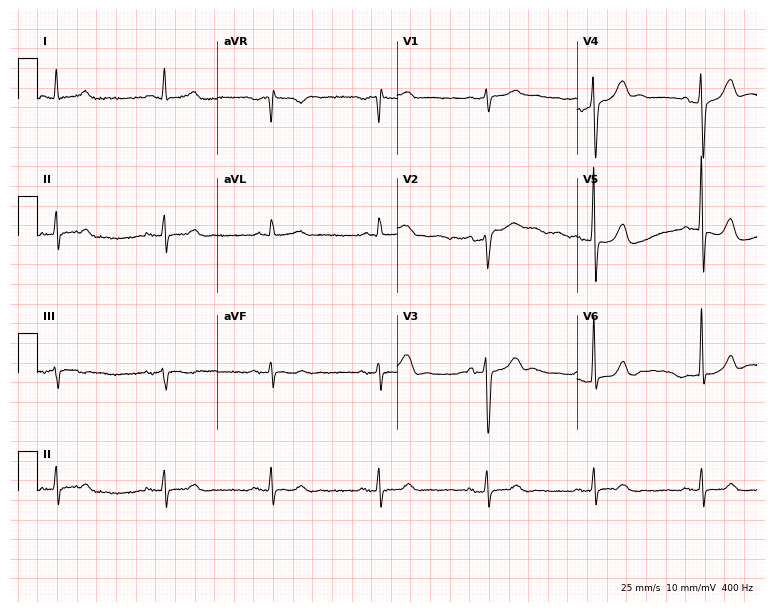
ECG (7.3-second recording at 400 Hz) — an 83-year-old male patient. Screened for six findings — first-degree AV block, right bundle branch block (RBBB), left bundle branch block (LBBB), sinus bradycardia, atrial fibrillation (AF), sinus tachycardia — none is recorded. Only these six findings were labelled.